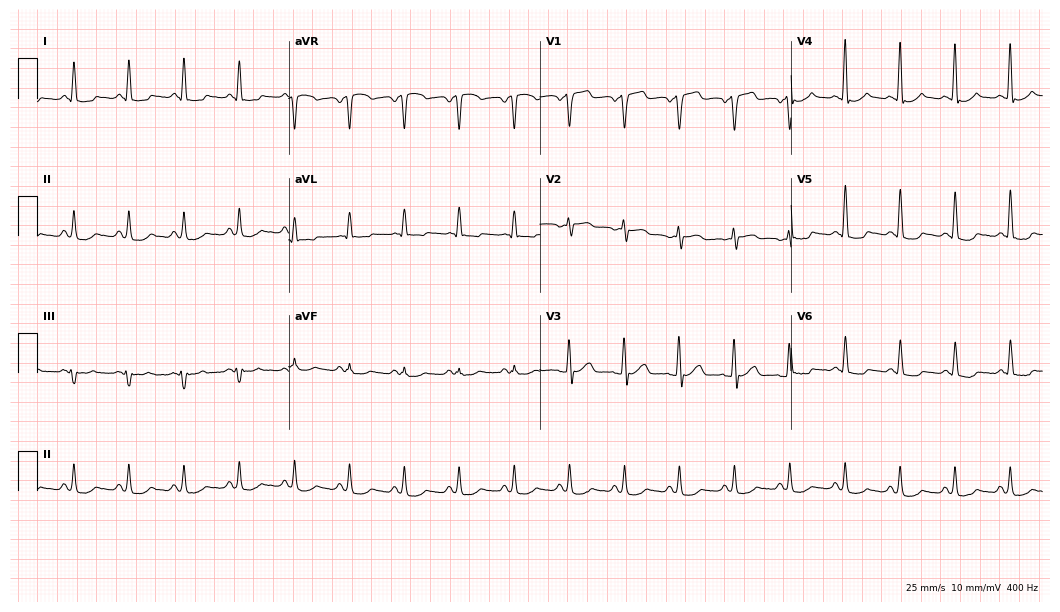
12-lead ECG from a male, 65 years old (10.2-second recording at 400 Hz). Shows sinus tachycardia (a sinus rate of 100 beats per minute or more).